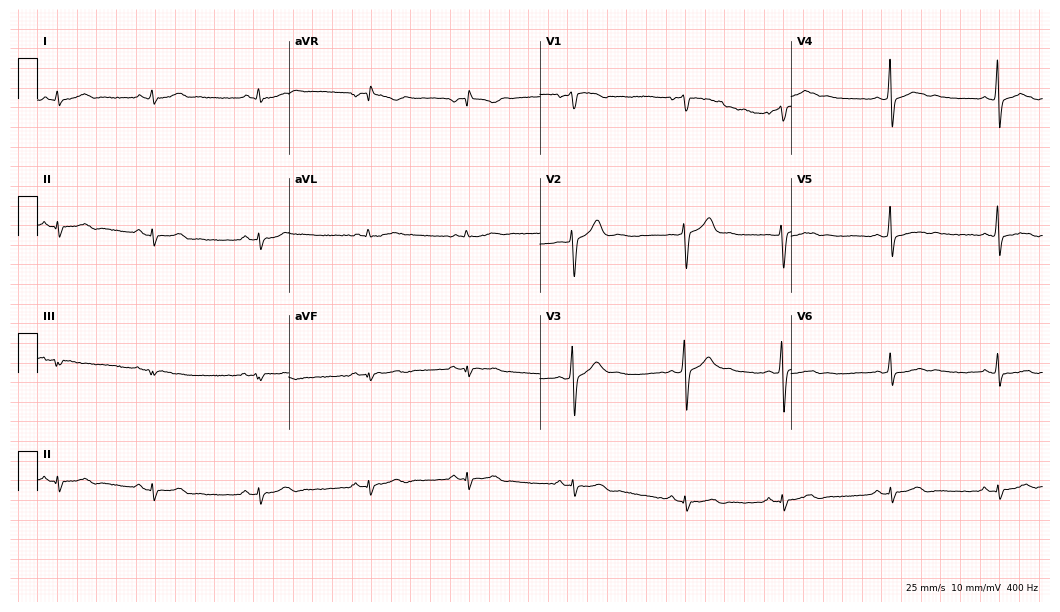
Standard 12-lead ECG recorded from a 36-year-old man. None of these six findings is recorded: first-degree AV block, right bundle branch block, left bundle branch block, sinus bradycardia, atrial fibrillation, sinus tachycardia. Only these six findings were labelled.